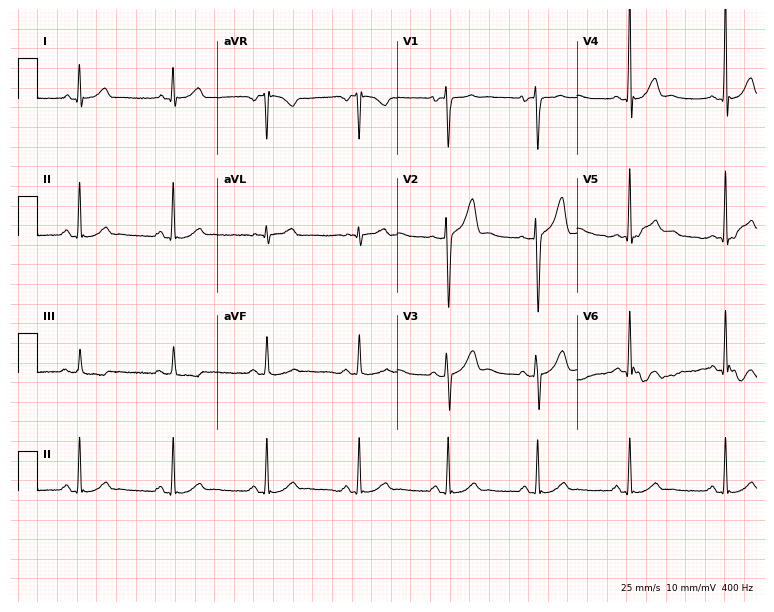
Resting 12-lead electrocardiogram (7.3-second recording at 400 Hz). Patient: a male, 46 years old. None of these six findings is recorded: first-degree AV block, right bundle branch block (RBBB), left bundle branch block (LBBB), sinus bradycardia, atrial fibrillation (AF), sinus tachycardia.